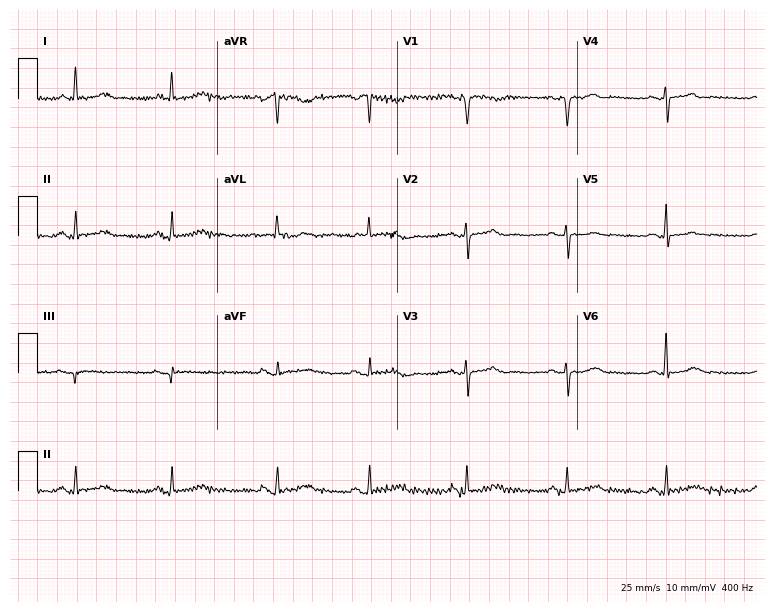
ECG — a 71-year-old woman. Screened for six findings — first-degree AV block, right bundle branch block, left bundle branch block, sinus bradycardia, atrial fibrillation, sinus tachycardia — none is recorded. Other findings, if any, are not listed.